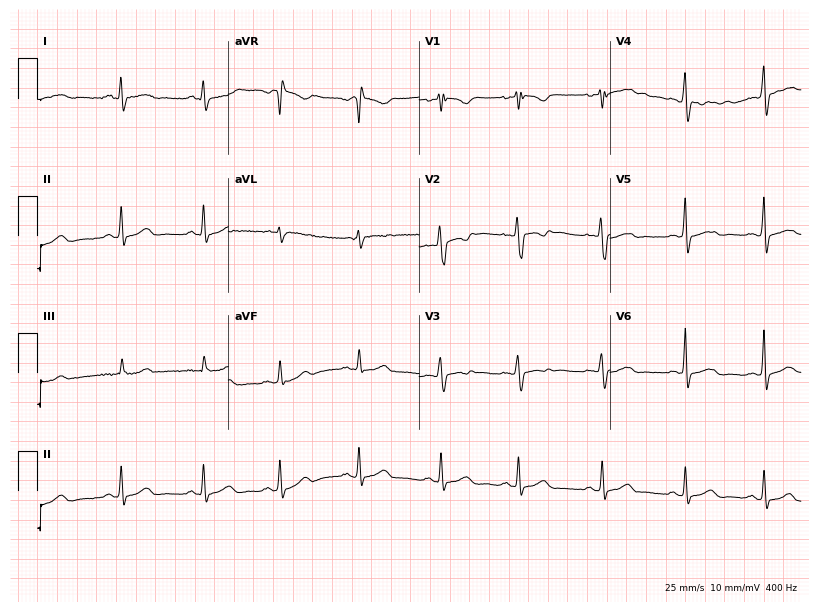
12-lead ECG (7.8-second recording at 400 Hz) from a 37-year-old female patient. Screened for six findings — first-degree AV block, right bundle branch block, left bundle branch block, sinus bradycardia, atrial fibrillation, sinus tachycardia — none is recorded.